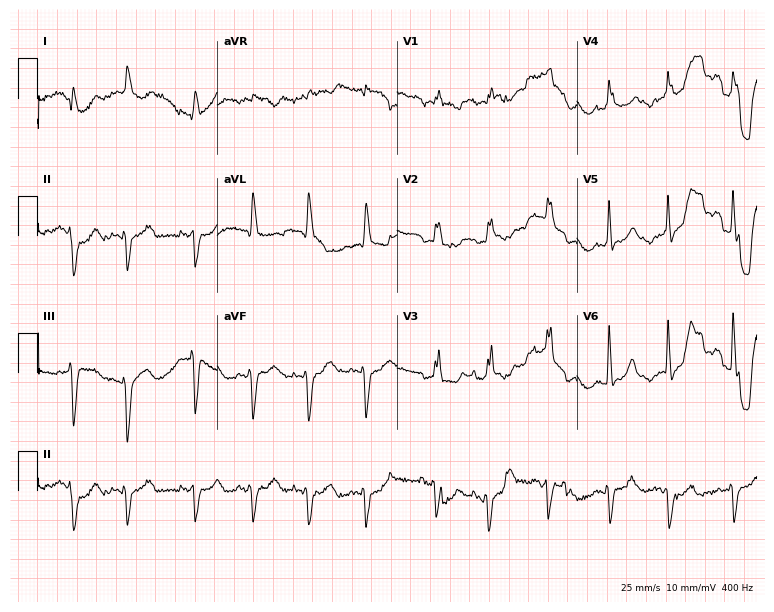
ECG (7.3-second recording at 400 Hz) — a male, 76 years old. Screened for six findings — first-degree AV block, right bundle branch block, left bundle branch block, sinus bradycardia, atrial fibrillation, sinus tachycardia — none is recorded. Findings outside these six are not listed.